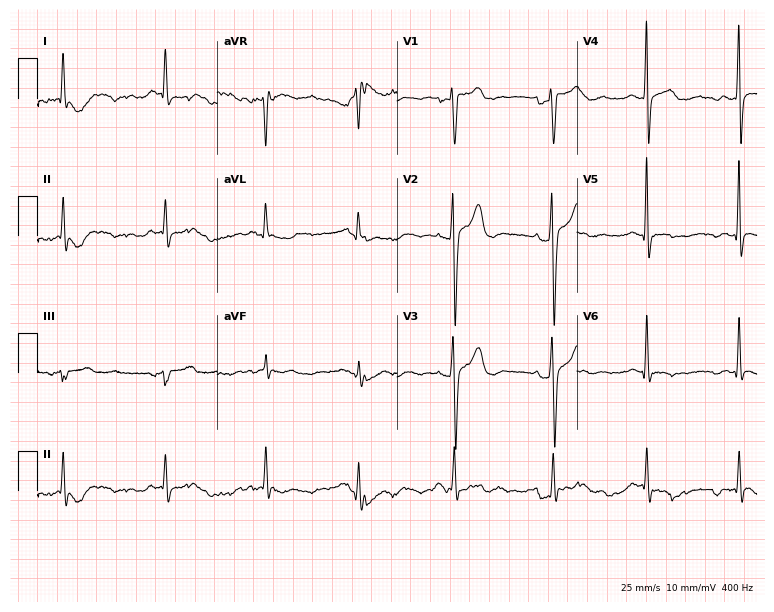
Standard 12-lead ECG recorded from a 35-year-old male. None of these six findings is recorded: first-degree AV block, right bundle branch block, left bundle branch block, sinus bradycardia, atrial fibrillation, sinus tachycardia.